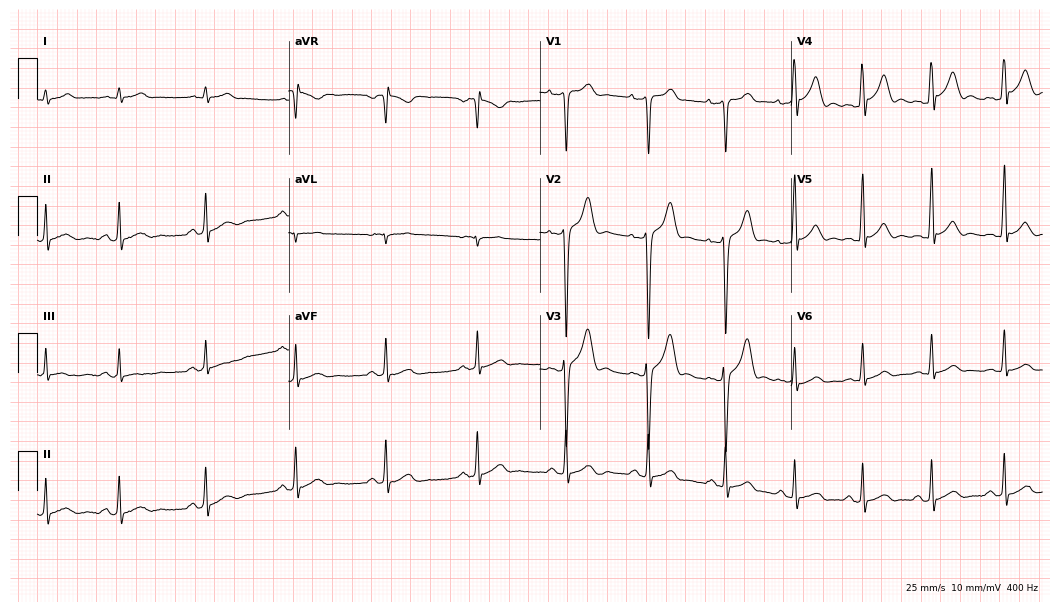
12-lead ECG (10.2-second recording at 400 Hz) from a 22-year-old male patient. Labelled as a normal ECG.